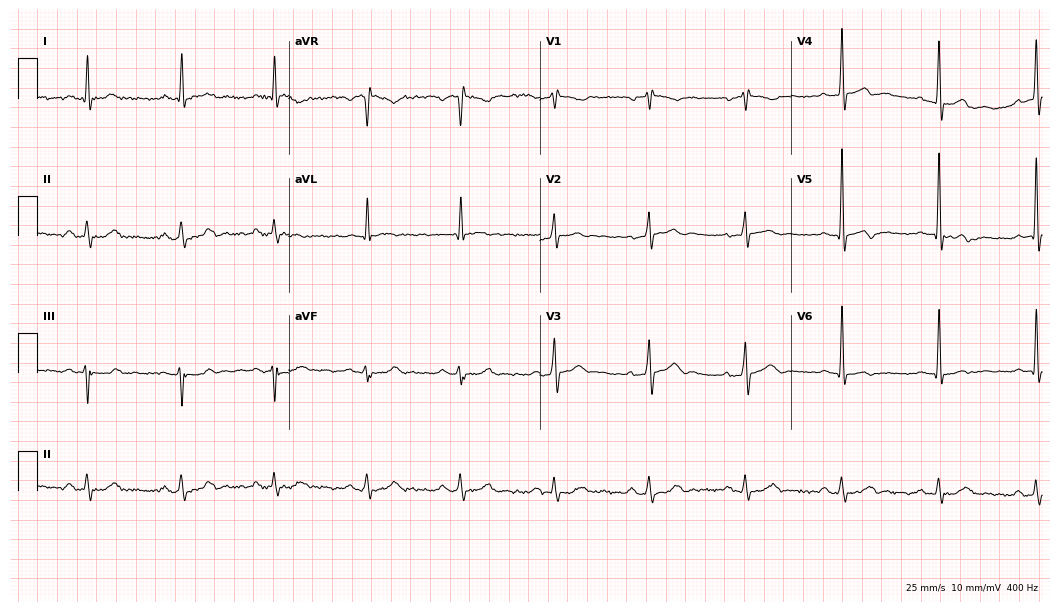
ECG — a 60-year-old male patient. Screened for six findings — first-degree AV block, right bundle branch block, left bundle branch block, sinus bradycardia, atrial fibrillation, sinus tachycardia — none is recorded.